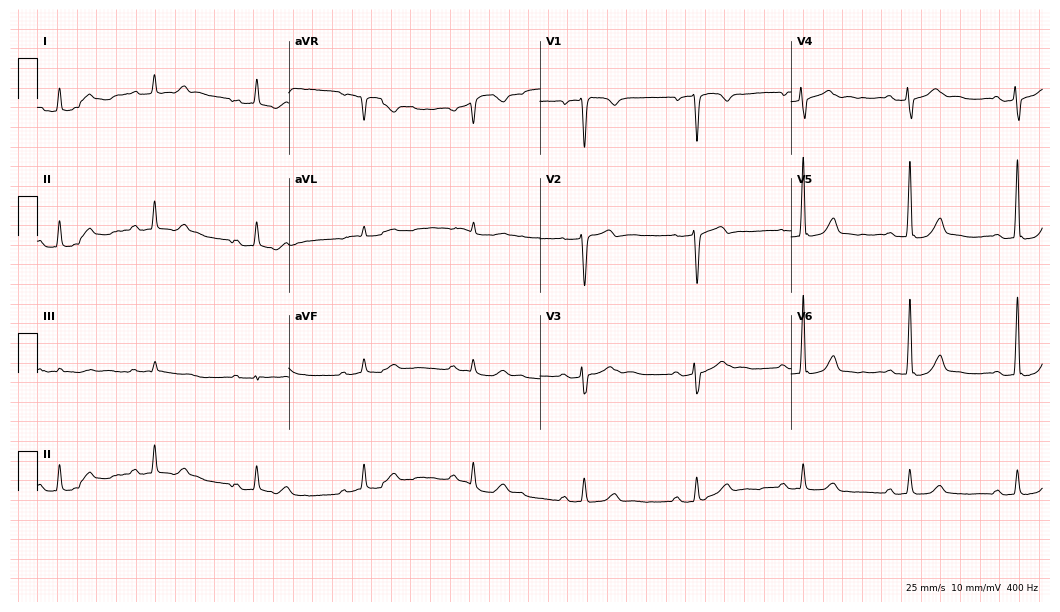
ECG — a 57-year-old male patient. Labelled as a normal ECG.